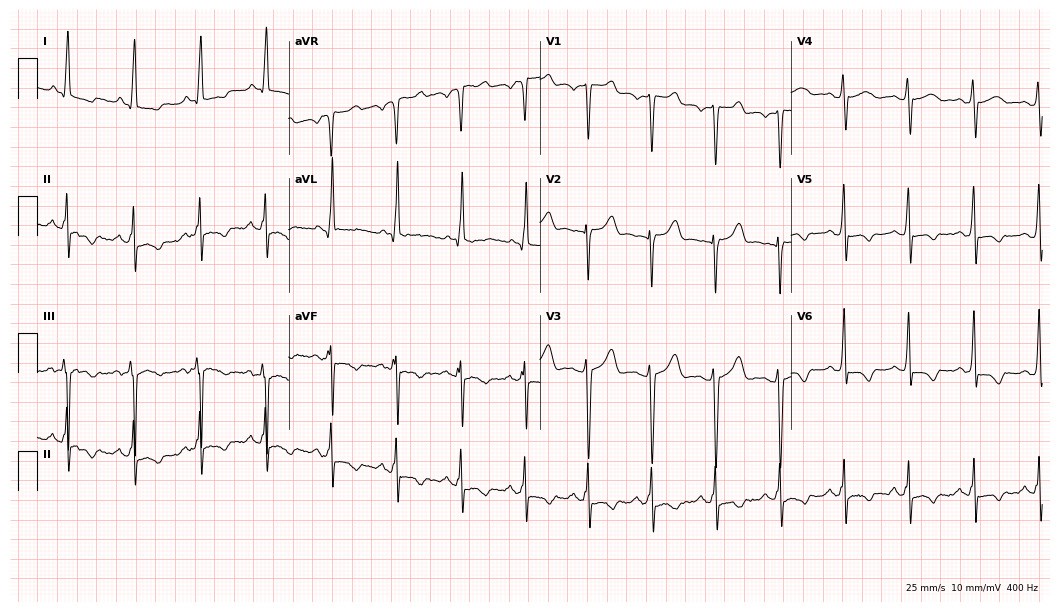
Electrocardiogram (10.2-second recording at 400 Hz), a male patient, 45 years old. Of the six screened findings (first-degree AV block, right bundle branch block, left bundle branch block, sinus bradycardia, atrial fibrillation, sinus tachycardia), none is recorded.